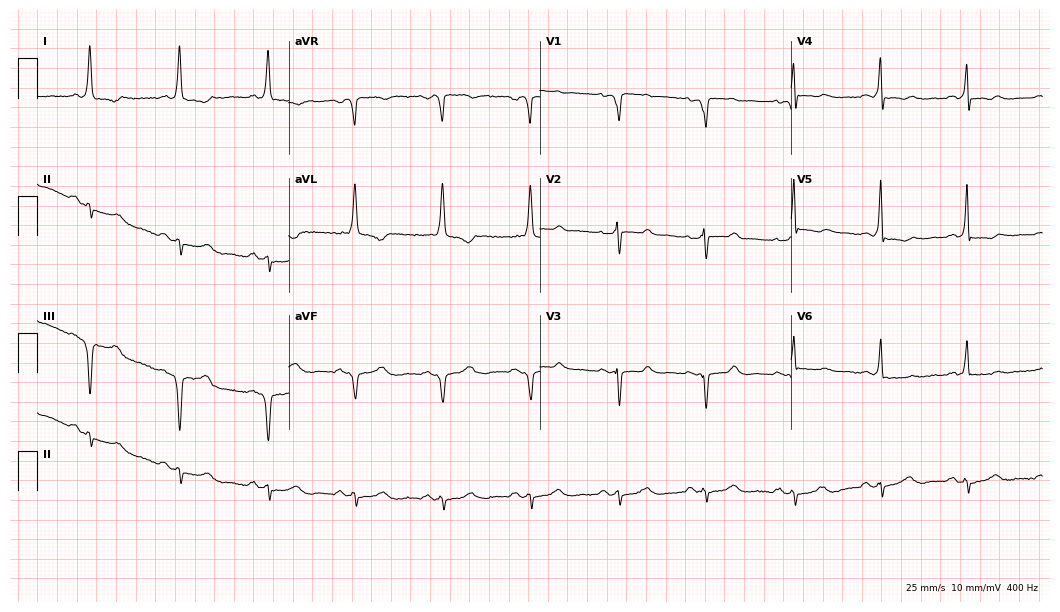
Standard 12-lead ECG recorded from a female, 68 years old (10.2-second recording at 400 Hz). None of these six findings is recorded: first-degree AV block, right bundle branch block, left bundle branch block, sinus bradycardia, atrial fibrillation, sinus tachycardia.